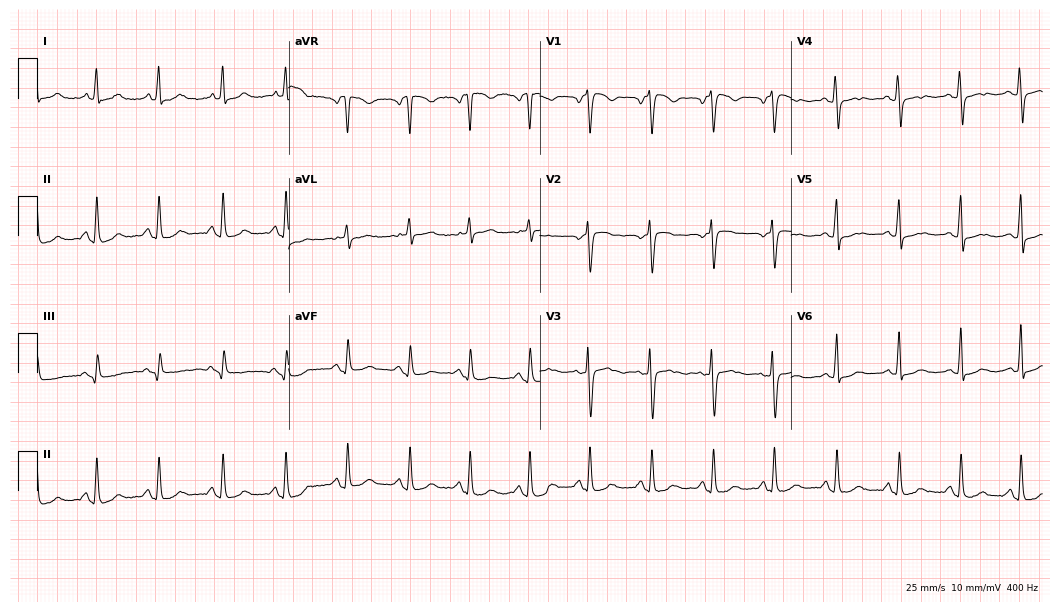
Resting 12-lead electrocardiogram (10.2-second recording at 400 Hz). Patient: a female, 34 years old. None of these six findings is recorded: first-degree AV block, right bundle branch block, left bundle branch block, sinus bradycardia, atrial fibrillation, sinus tachycardia. Only these six findings were labelled.